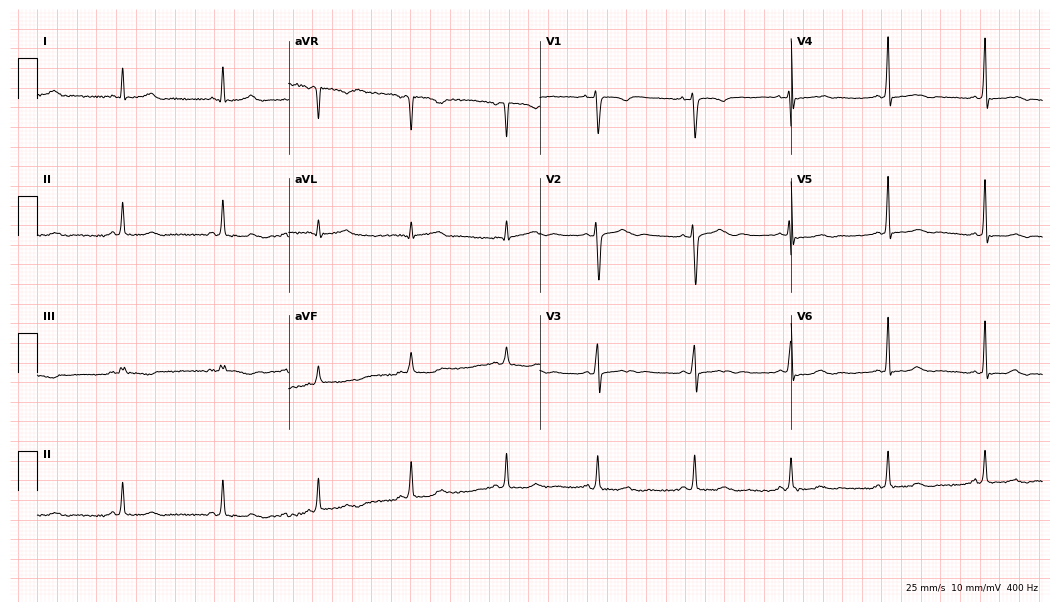
12-lead ECG (10.2-second recording at 400 Hz) from a female patient, 26 years old. Screened for six findings — first-degree AV block, right bundle branch block, left bundle branch block, sinus bradycardia, atrial fibrillation, sinus tachycardia — none is recorded.